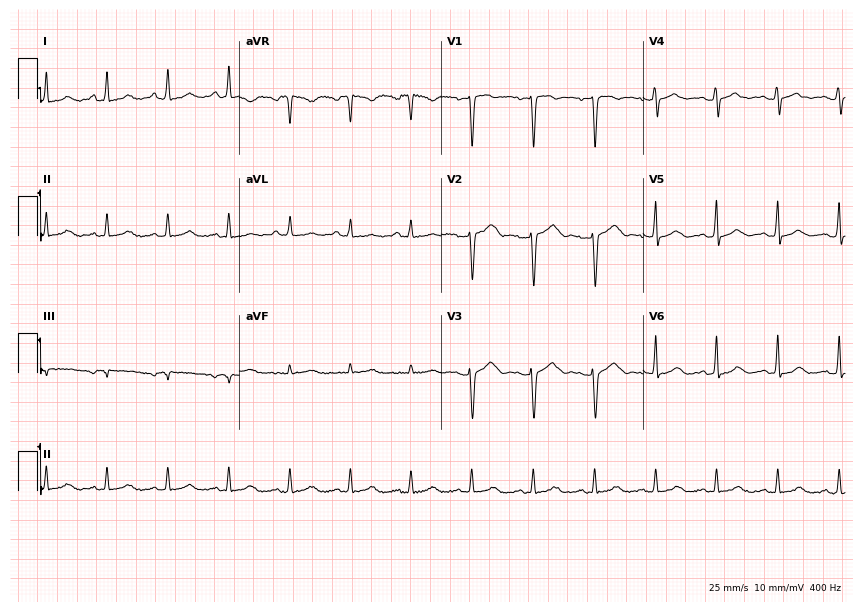
12-lead ECG from a 33-year-old woman (8.2-second recording at 400 Hz). Recorded interpretation: within normal limits.